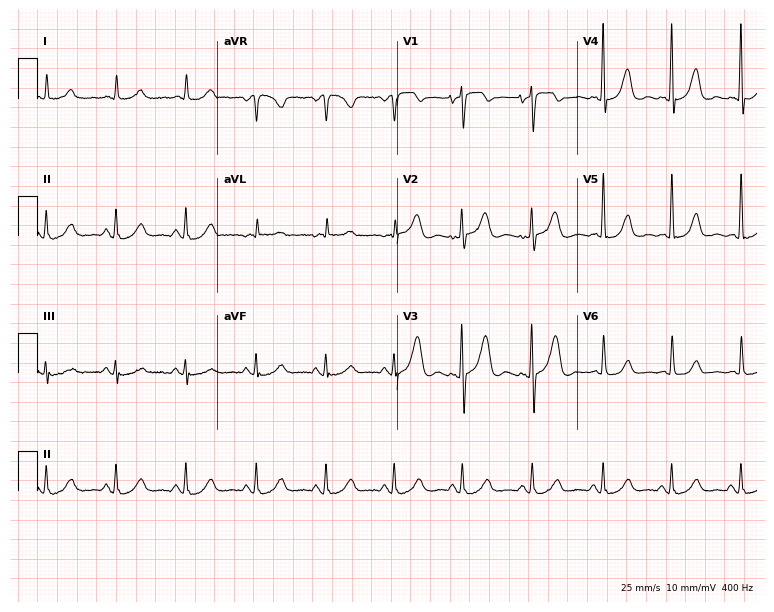
Standard 12-lead ECG recorded from a 78-year-old female. None of these six findings is recorded: first-degree AV block, right bundle branch block, left bundle branch block, sinus bradycardia, atrial fibrillation, sinus tachycardia. Other findings, if any, are not listed.